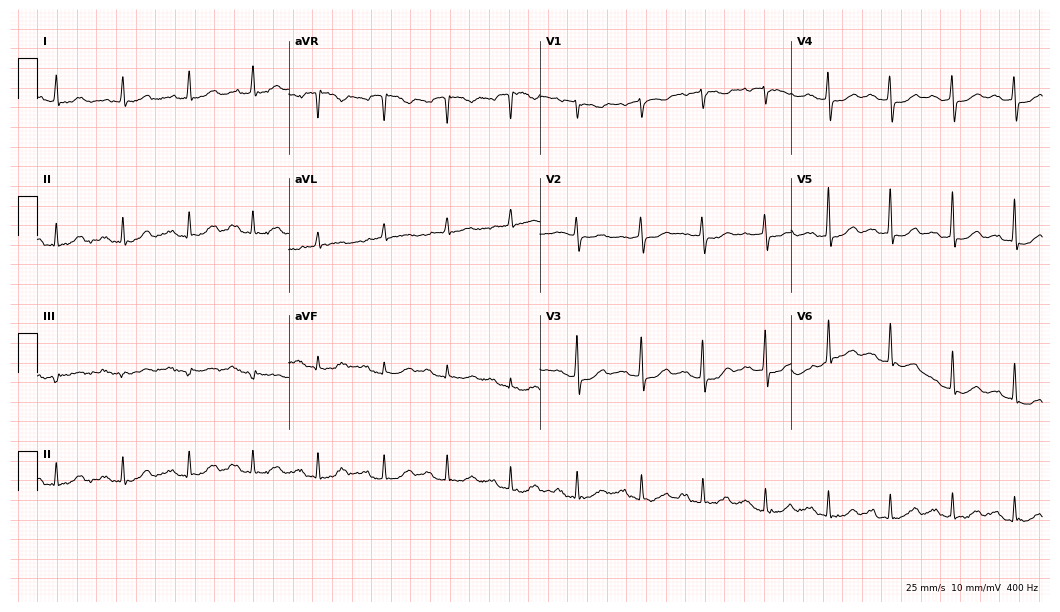
Resting 12-lead electrocardiogram. Patient: an 84-year-old man. None of these six findings is recorded: first-degree AV block, right bundle branch block, left bundle branch block, sinus bradycardia, atrial fibrillation, sinus tachycardia. Other findings, if any, are not listed.